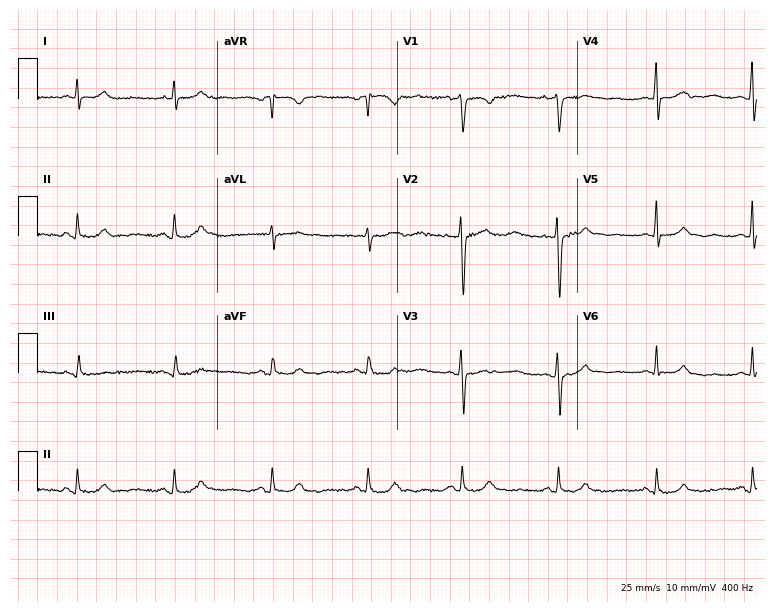
12-lead ECG (7.3-second recording at 400 Hz) from a 51-year-old male. Labelled as a normal ECG.